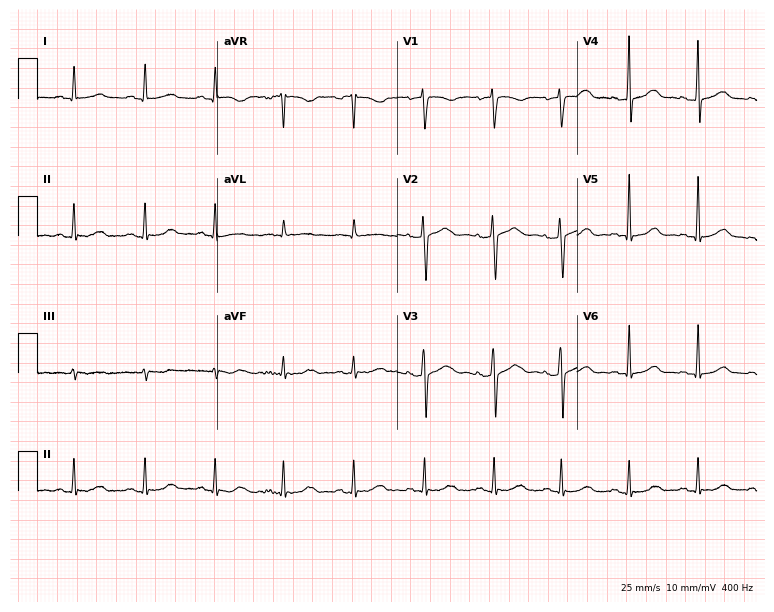
12-lead ECG from a 66-year-old female (7.3-second recording at 400 Hz). Recorded interpretation: within normal limits.